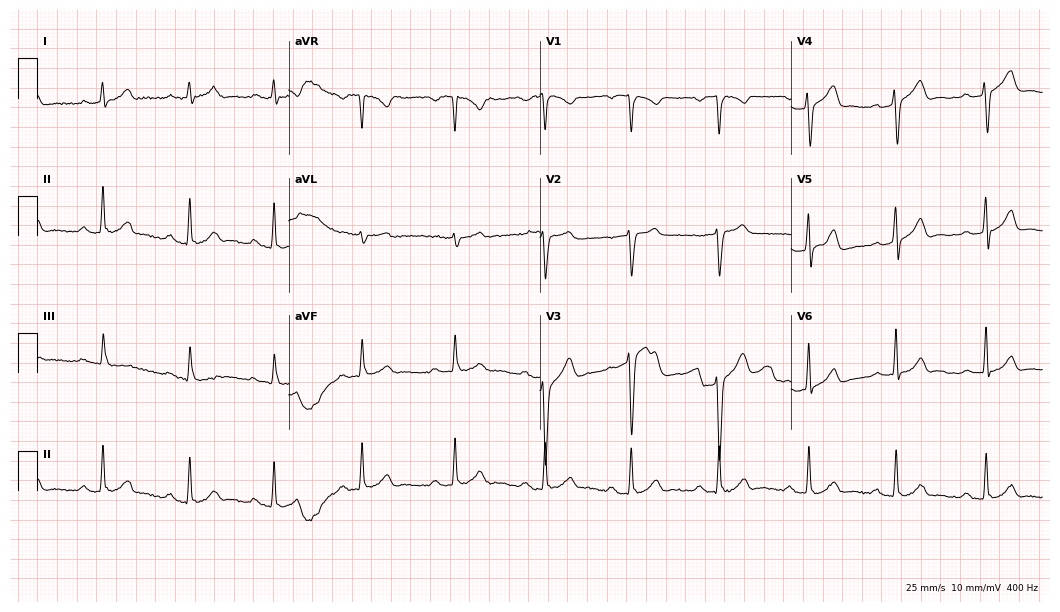
12-lead ECG from a female patient, 52 years old. Recorded interpretation: within normal limits.